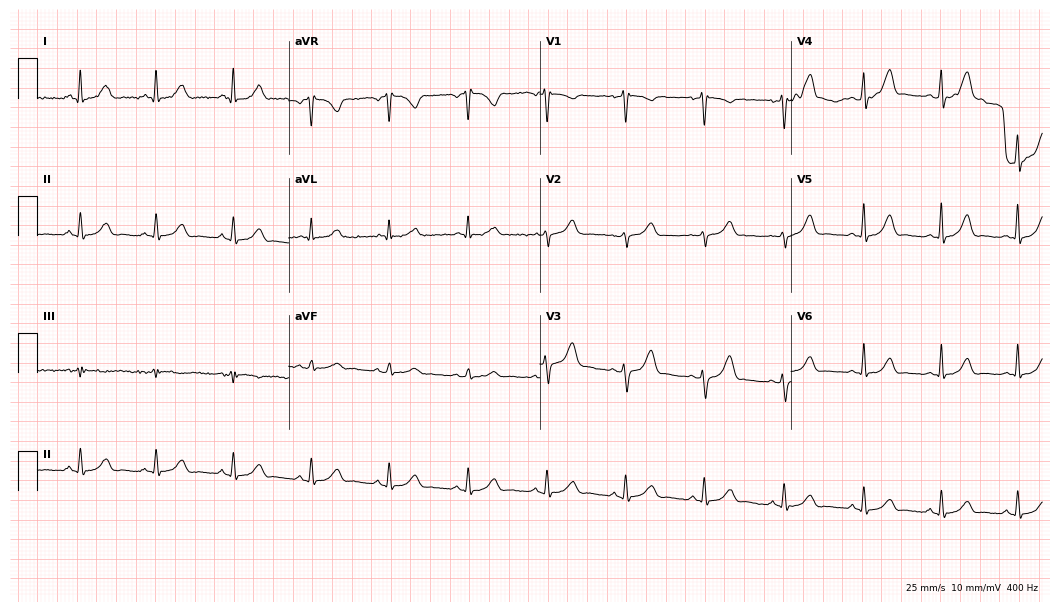
Resting 12-lead electrocardiogram (10.2-second recording at 400 Hz). Patient: a 42-year-old woman. None of these six findings is recorded: first-degree AV block, right bundle branch block, left bundle branch block, sinus bradycardia, atrial fibrillation, sinus tachycardia.